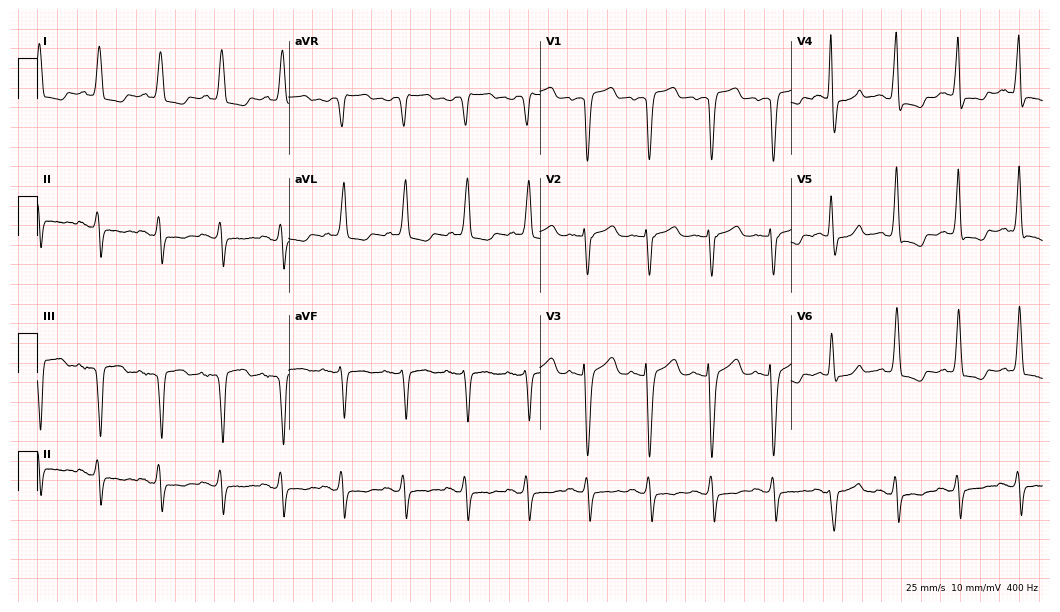
12-lead ECG from a woman, 79 years old. No first-degree AV block, right bundle branch block, left bundle branch block, sinus bradycardia, atrial fibrillation or sinus tachycardia recorded for this tracing.